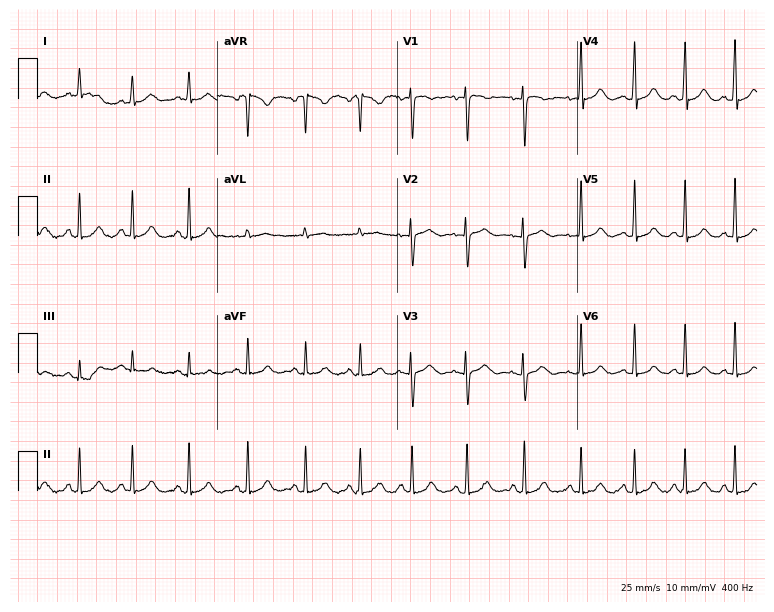
Standard 12-lead ECG recorded from a female patient, 35 years old. The tracing shows sinus tachycardia (a sinus rate of 100 beats per minute or more).